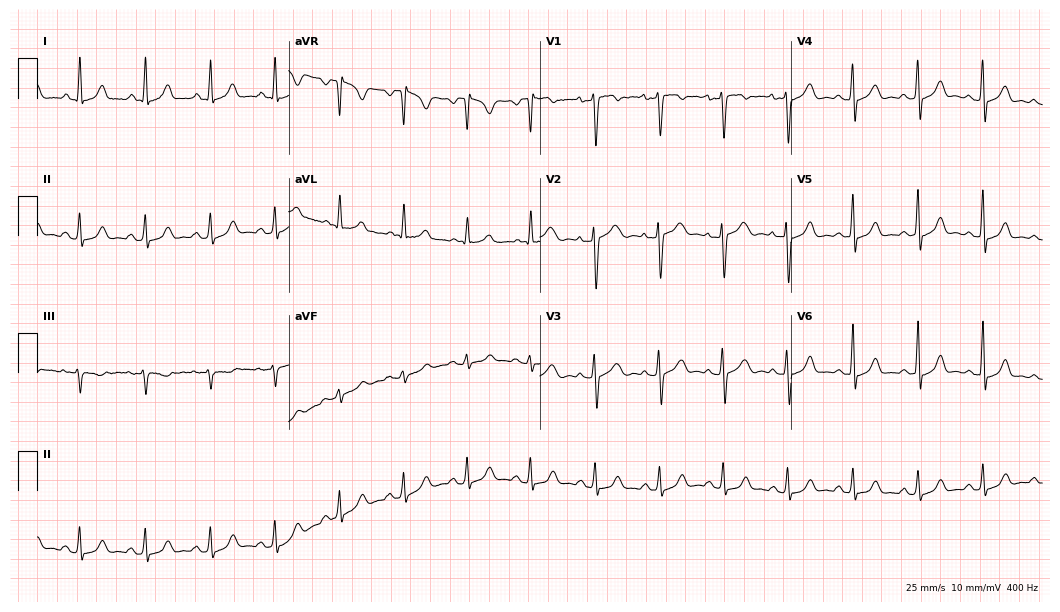
12-lead ECG from a female, 38 years old. Labelled as a normal ECG.